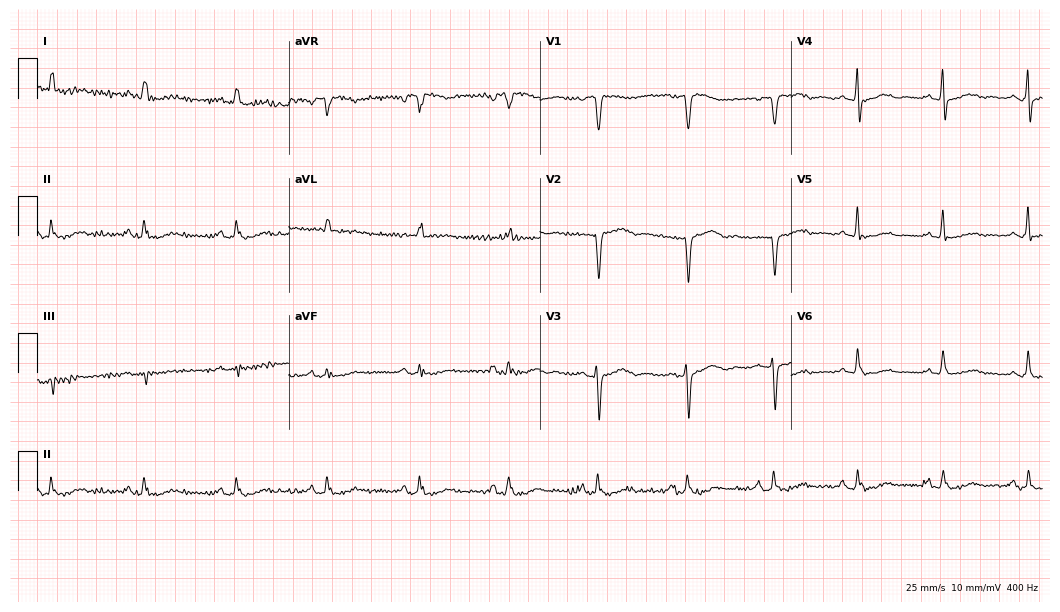
12-lead ECG from a female, 70 years old. No first-degree AV block, right bundle branch block (RBBB), left bundle branch block (LBBB), sinus bradycardia, atrial fibrillation (AF) or sinus tachycardia recorded for this tracing. Other findings, if any, are not listed.